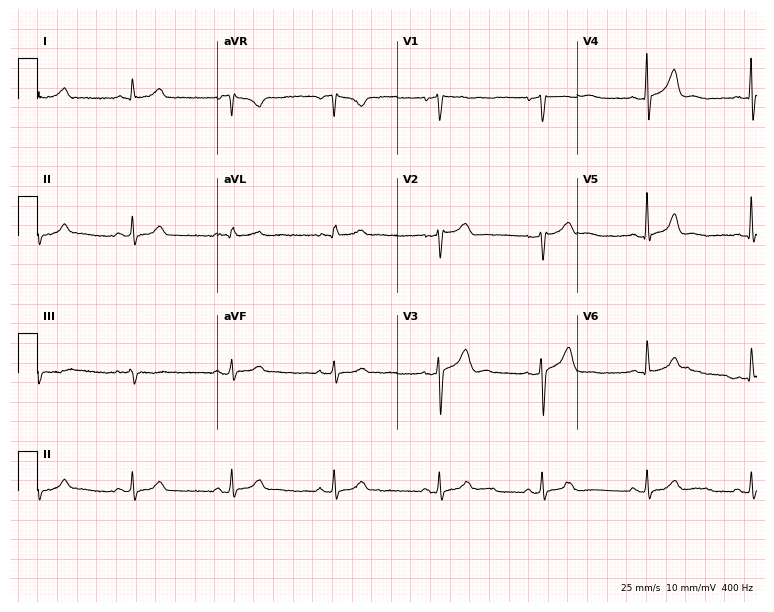
Resting 12-lead electrocardiogram (7.3-second recording at 400 Hz). Patient: a male, 50 years old. None of these six findings is recorded: first-degree AV block, right bundle branch block (RBBB), left bundle branch block (LBBB), sinus bradycardia, atrial fibrillation (AF), sinus tachycardia. Findings outside these six are not listed.